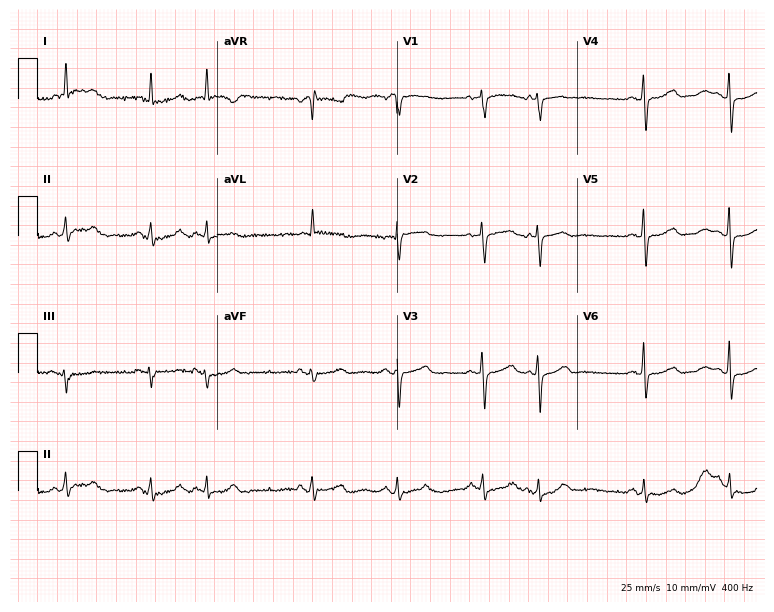
Standard 12-lead ECG recorded from an 85-year-old female patient (7.3-second recording at 400 Hz). Read as a normal ECG.